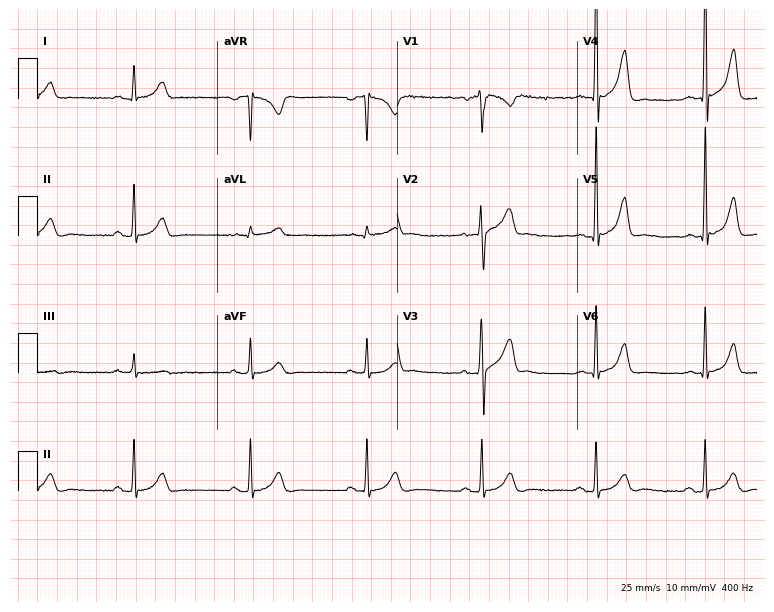
Electrocardiogram, a 37-year-old male. Overall reading on record: normal ECG.